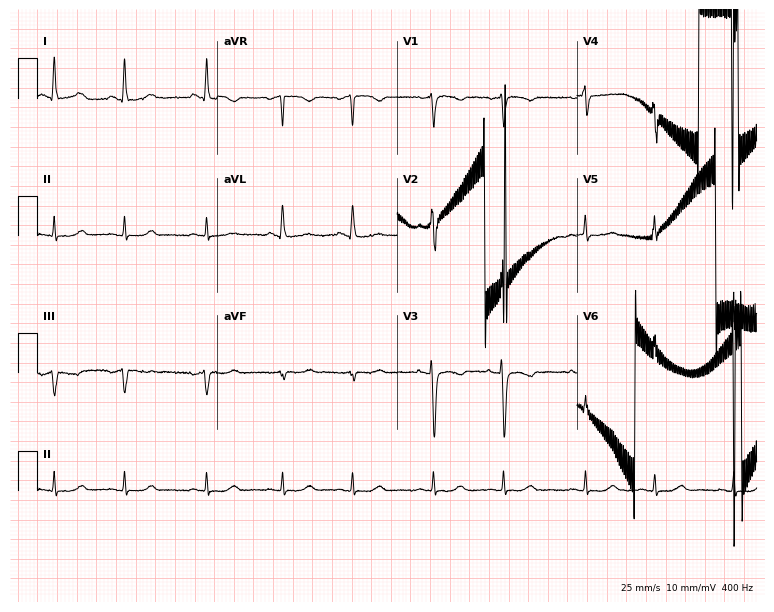
12-lead ECG from a 41-year-old female. Screened for six findings — first-degree AV block, right bundle branch block, left bundle branch block, sinus bradycardia, atrial fibrillation, sinus tachycardia — none is recorded. Findings outside these six are not listed.